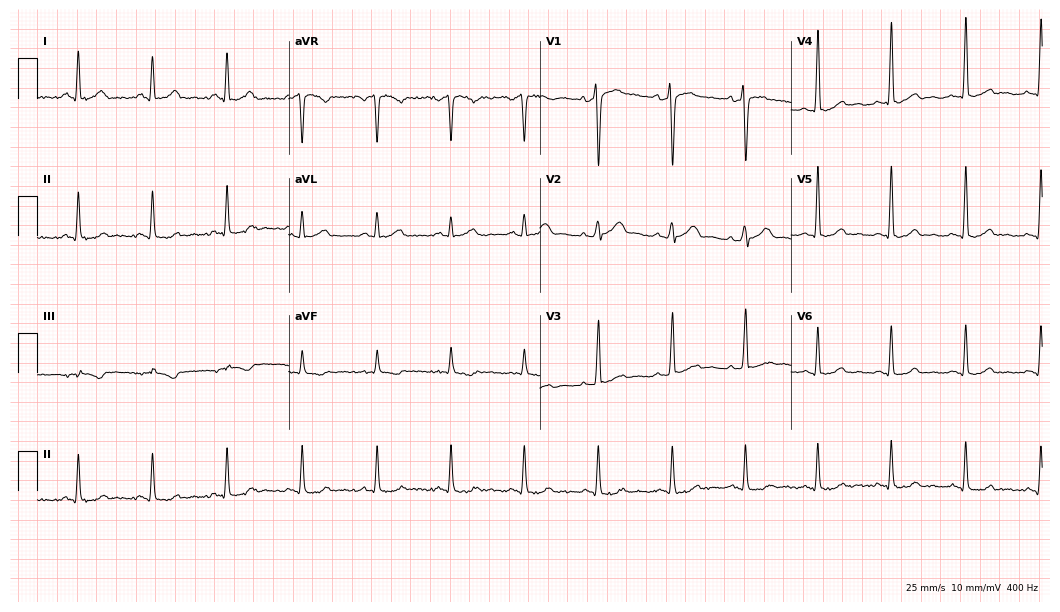
Resting 12-lead electrocardiogram (10.2-second recording at 400 Hz). Patient: a 48-year-old man. Read as a normal ECG.